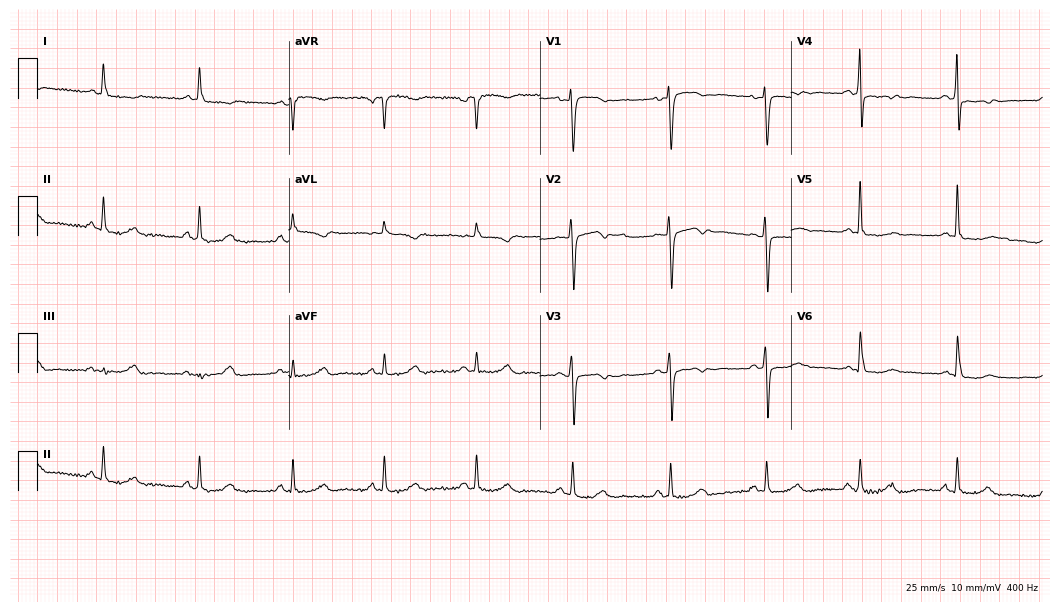
Electrocardiogram, a 60-year-old female patient. Of the six screened findings (first-degree AV block, right bundle branch block, left bundle branch block, sinus bradycardia, atrial fibrillation, sinus tachycardia), none is recorded.